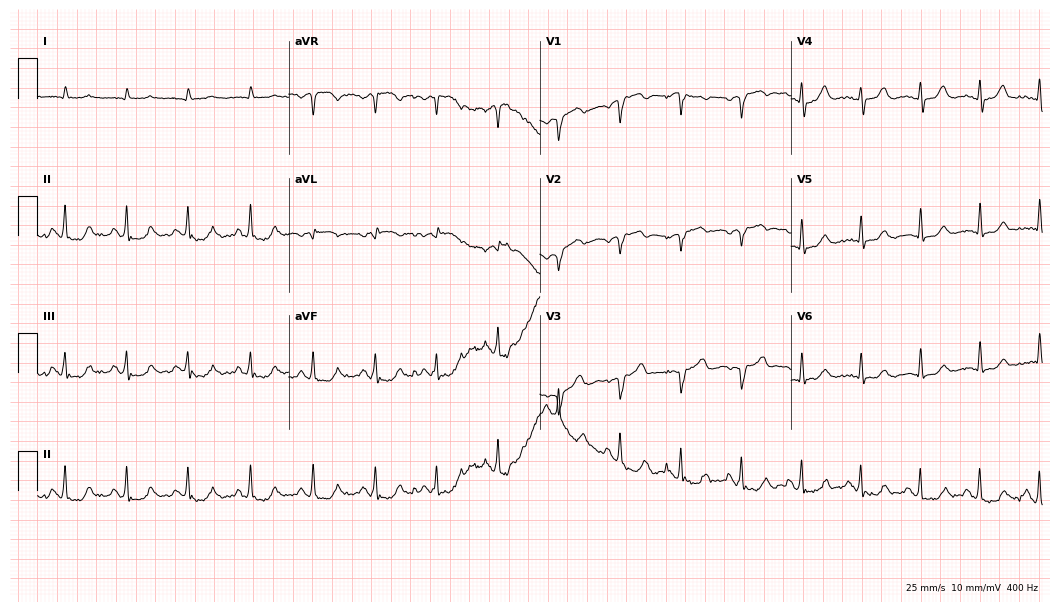
Standard 12-lead ECG recorded from a 78-year-old man. None of these six findings is recorded: first-degree AV block, right bundle branch block (RBBB), left bundle branch block (LBBB), sinus bradycardia, atrial fibrillation (AF), sinus tachycardia. Other findings, if any, are not listed.